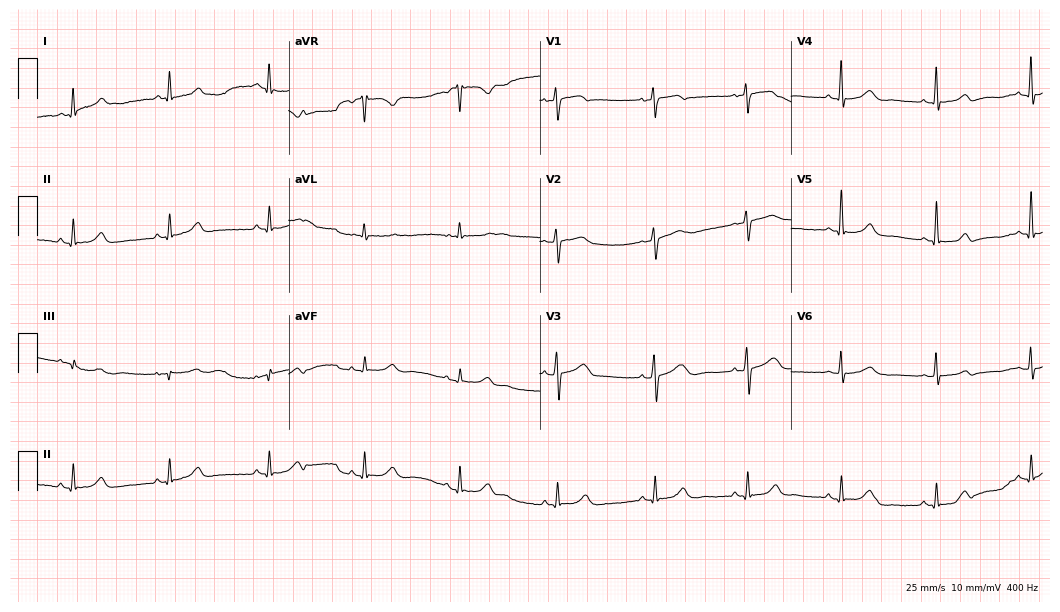
Electrocardiogram, a female patient, 53 years old. Of the six screened findings (first-degree AV block, right bundle branch block, left bundle branch block, sinus bradycardia, atrial fibrillation, sinus tachycardia), none is recorded.